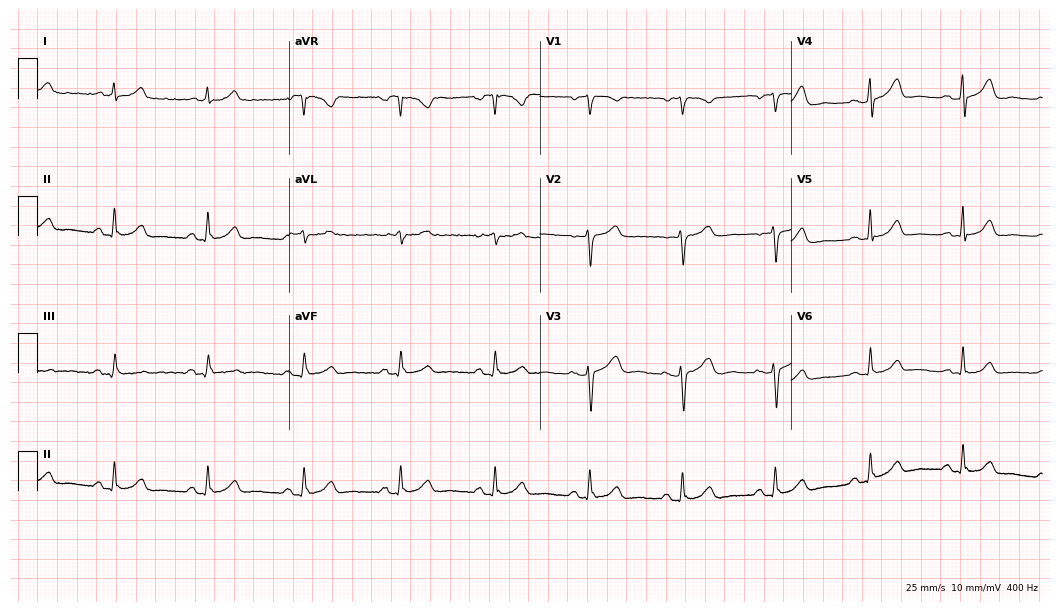
Resting 12-lead electrocardiogram. Patient: a female, 67 years old. Read as a normal ECG.